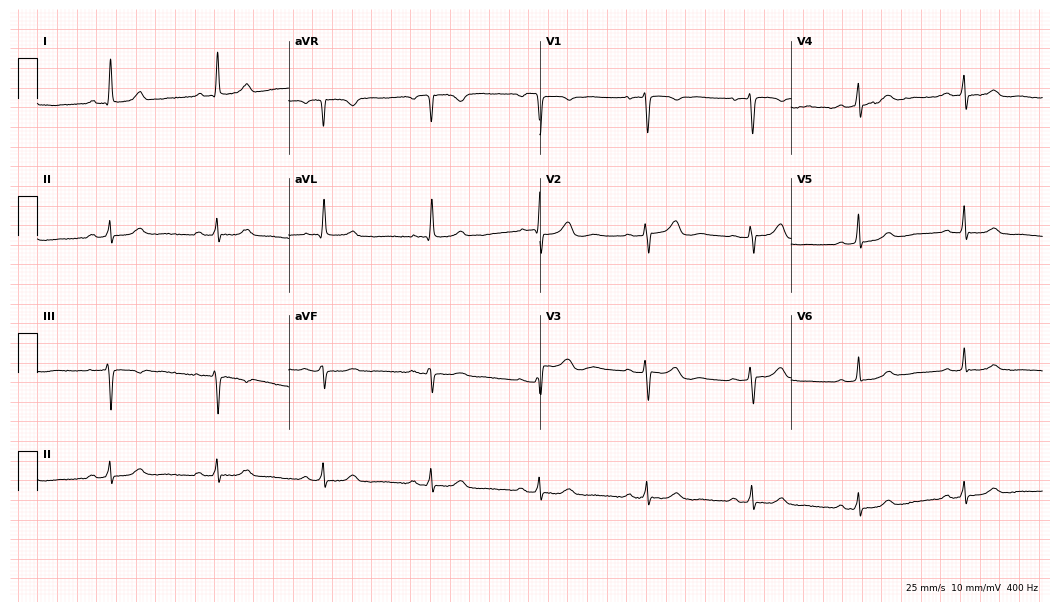
12-lead ECG (10.2-second recording at 400 Hz) from an 80-year-old female patient. Labelled as a normal ECG.